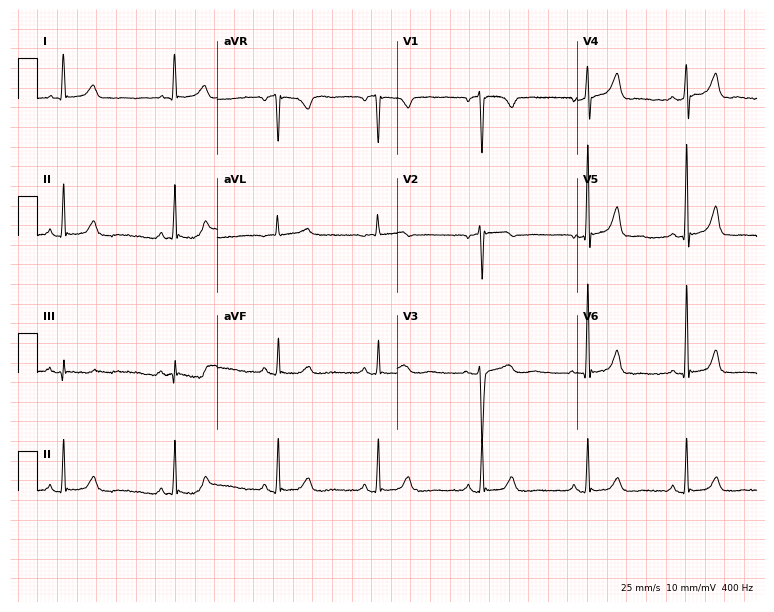
Resting 12-lead electrocardiogram (7.3-second recording at 400 Hz). Patient: a 45-year-old woman. None of these six findings is recorded: first-degree AV block, right bundle branch block, left bundle branch block, sinus bradycardia, atrial fibrillation, sinus tachycardia. Findings outside these six are not listed.